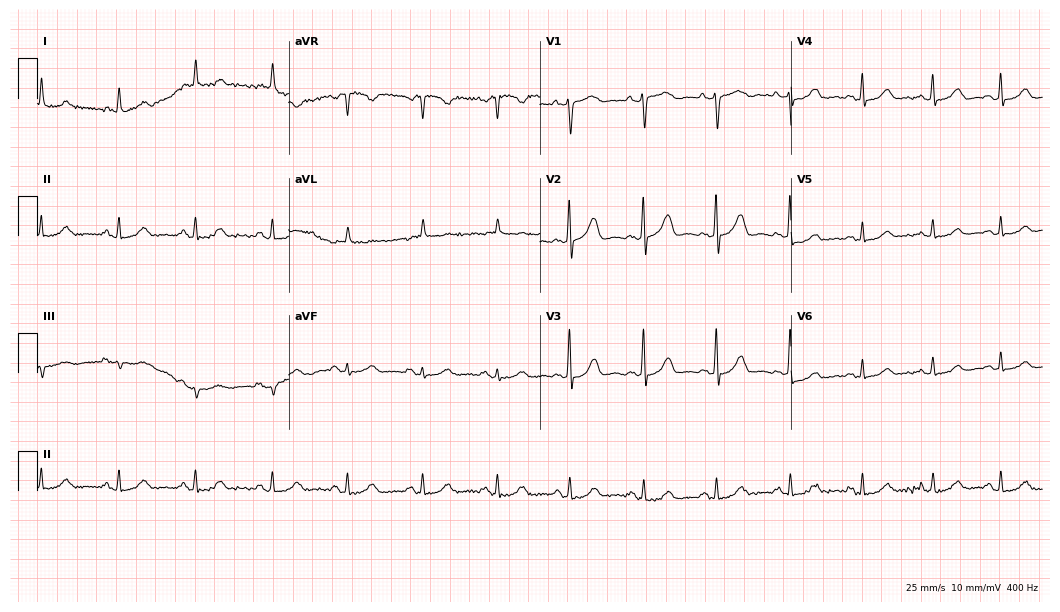
Standard 12-lead ECG recorded from a 66-year-old female. None of these six findings is recorded: first-degree AV block, right bundle branch block, left bundle branch block, sinus bradycardia, atrial fibrillation, sinus tachycardia.